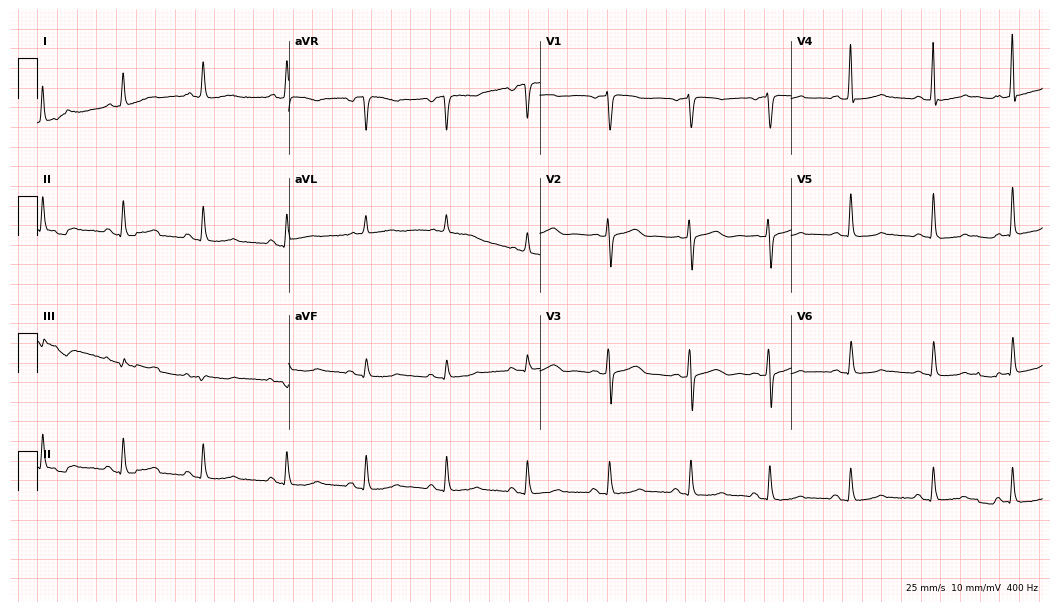
Standard 12-lead ECG recorded from a female, 66 years old (10.2-second recording at 400 Hz). Read as a normal ECG.